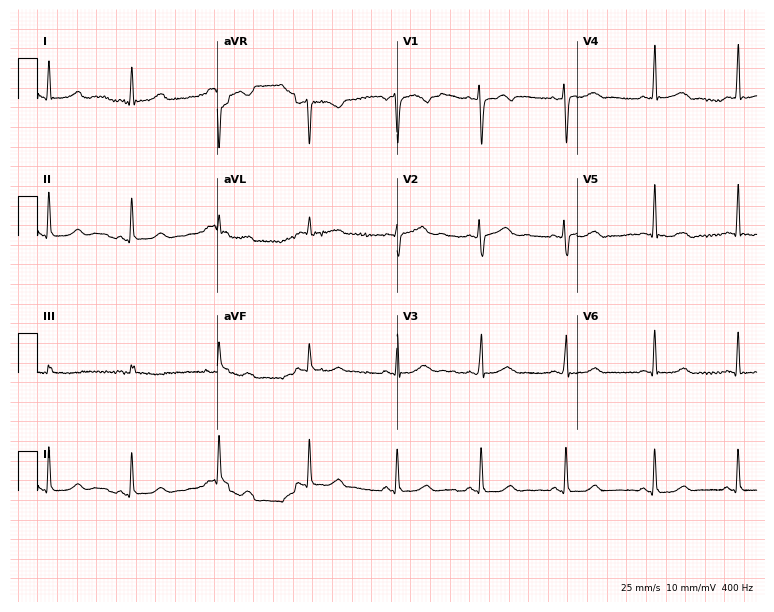
Standard 12-lead ECG recorded from a 26-year-old female (7.3-second recording at 400 Hz). Read as a normal ECG.